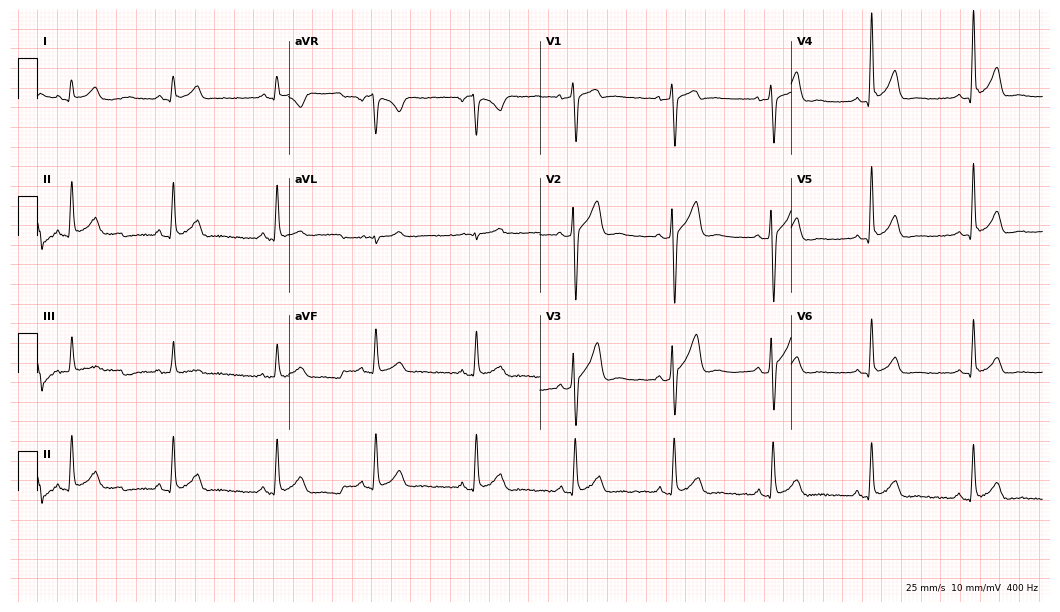
ECG — a male patient, 39 years old. Screened for six findings — first-degree AV block, right bundle branch block, left bundle branch block, sinus bradycardia, atrial fibrillation, sinus tachycardia — none is recorded.